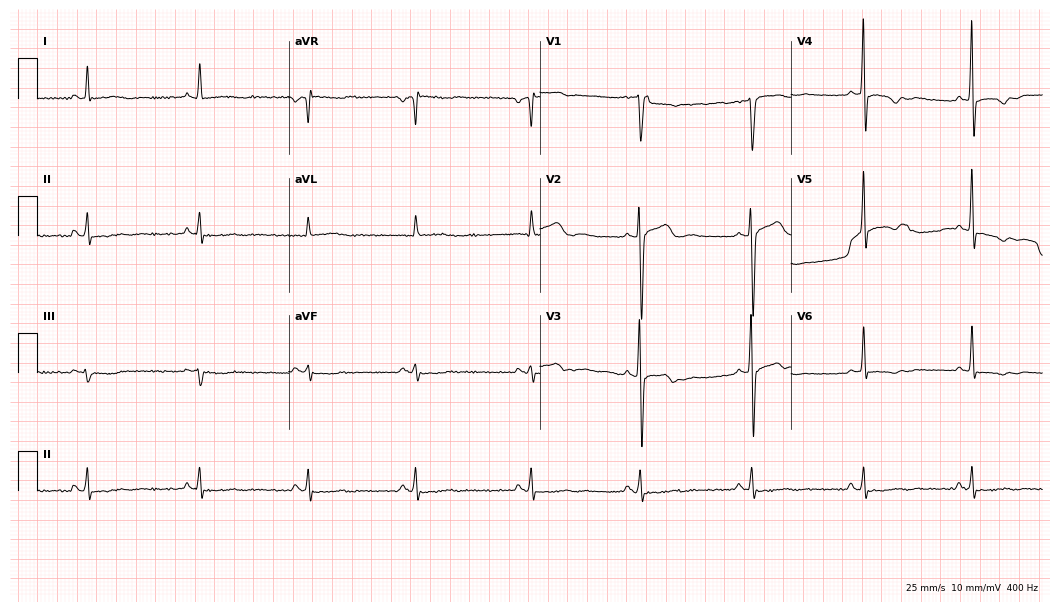
ECG — a 60-year-old man. Screened for six findings — first-degree AV block, right bundle branch block (RBBB), left bundle branch block (LBBB), sinus bradycardia, atrial fibrillation (AF), sinus tachycardia — none is recorded. Other findings, if any, are not listed.